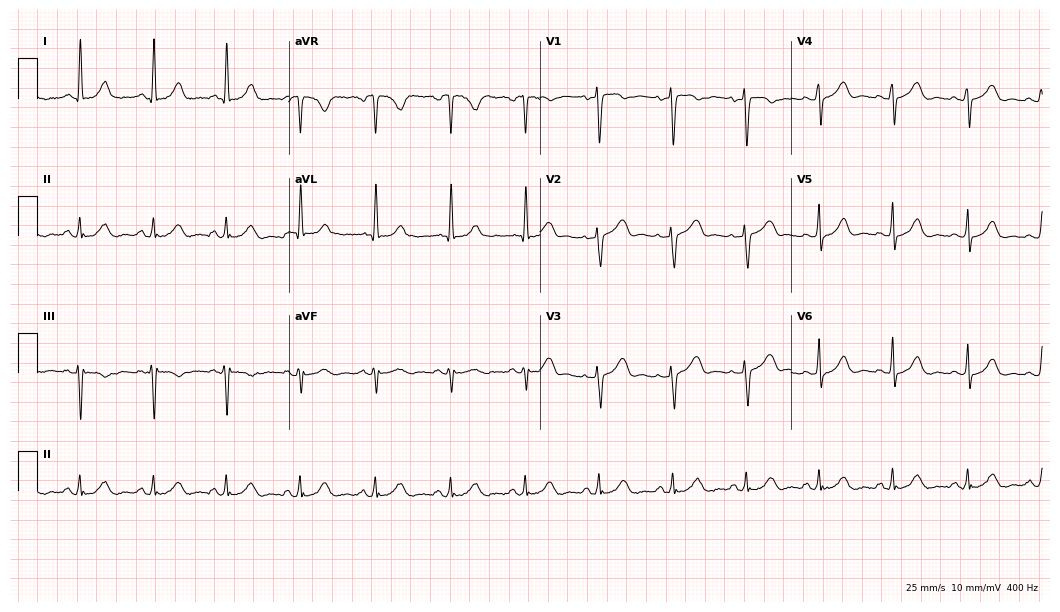
12-lead ECG (10.2-second recording at 400 Hz) from a 52-year-old female. Screened for six findings — first-degree AV block, right bundle branch block (RBBB), left bundle branch block (LBBB), sinus bradycardia, atrial fibrillation (AF), sinus tachycardia — none is recorded.